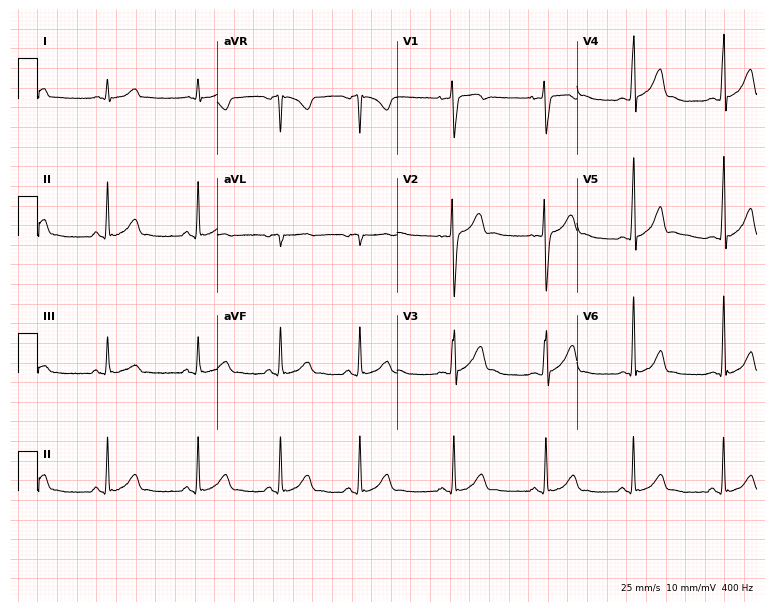
Electrocardiogram (7.3-second recording at 400 Hz), a 23-year-old man. Overall reading on record: normal ECG.